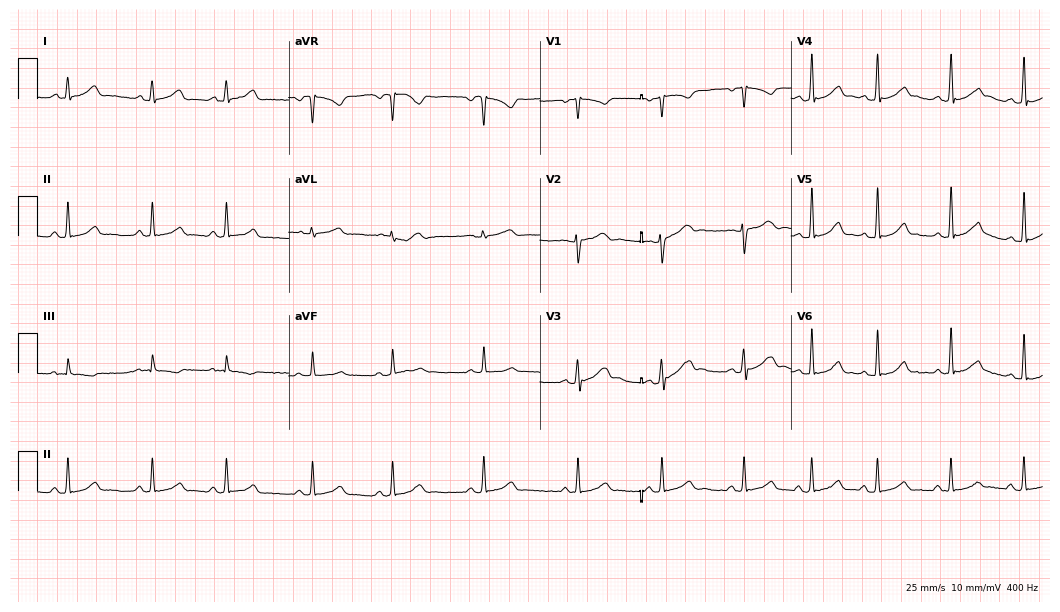
Standard 12-lead ECG recorded from a female patient, 19 years old (10.2-second recording at 400 Hz). Read as a normal ECG.